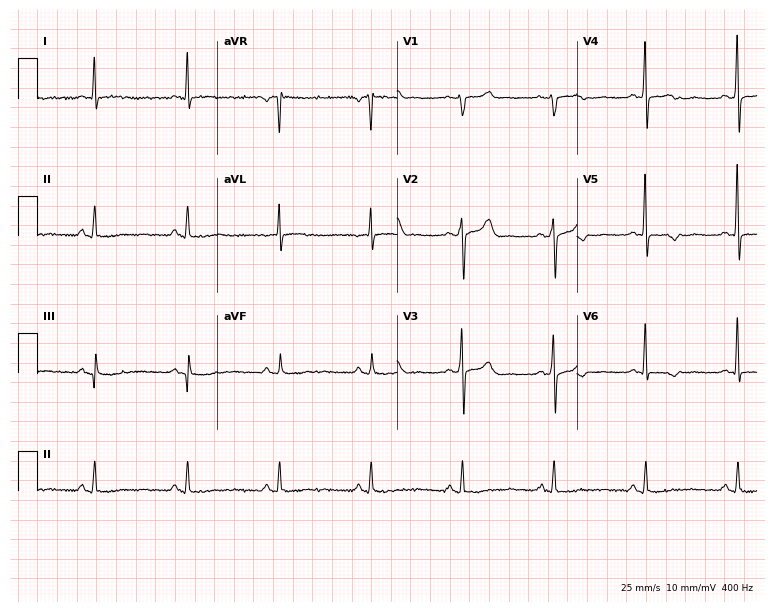
ECG (7.3-second recording at 400 Hz) — a male, 53 years old. Screened for six findings — first-degree AV block, right bundle branch block (RBBB), left bundle branch block (LBBB), sinus bradycardia, atrial fibrillation (AF), sinus tachycardia — none is recorded.